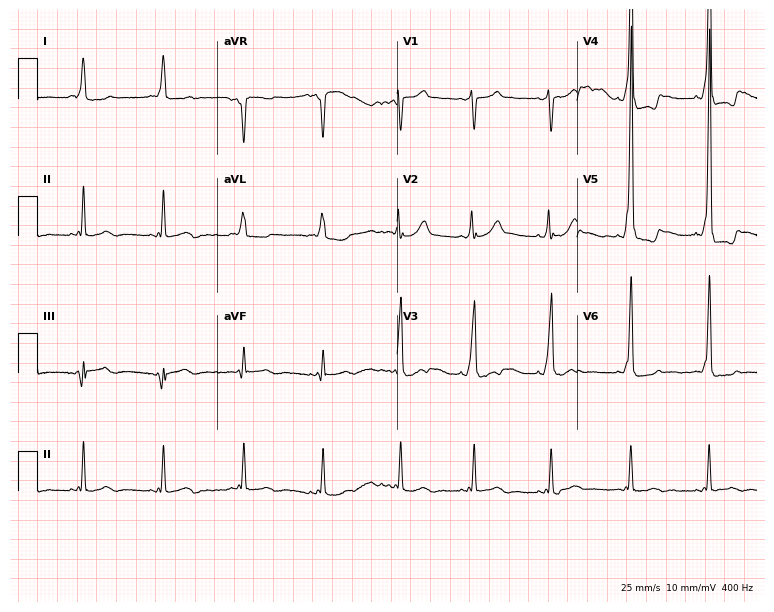
12-lead ECG from a male patient, 44 years old. Screened for six findings — first-degree AV block, right bundle branch block, left bundle branch block, sinus bradycardia, atrial fibrillation, sinus tachycardia — none is recorded. Findings outside these six are not listed.